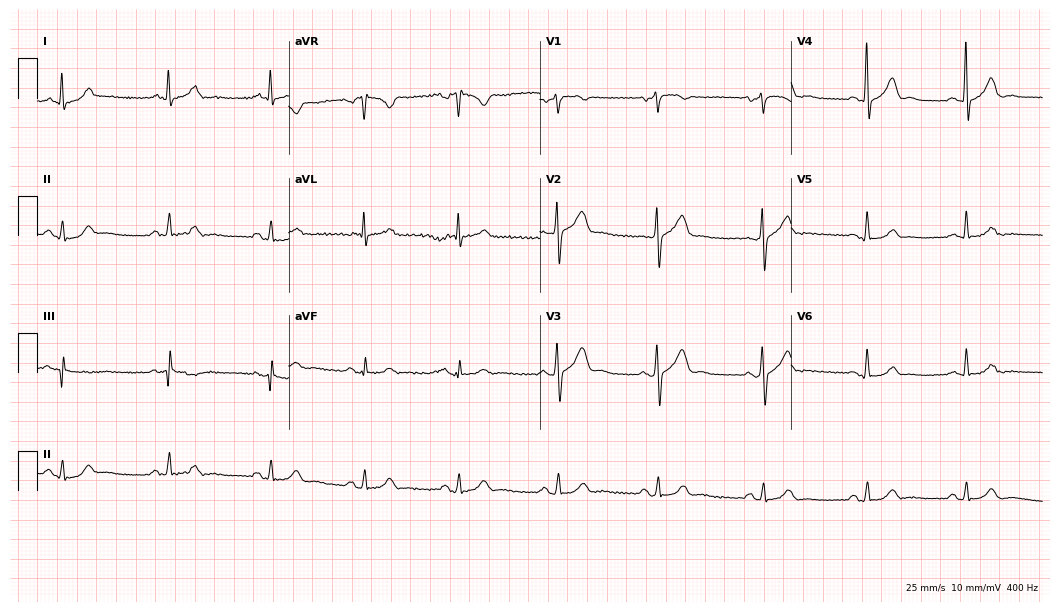
12-lead ECG from a 53-year-old man. Screened for six findings — first-degree AV block, right bundle branch block, left bundle branch block, sinus bradycardia, atrial fibrillation, sinus tachycardia — none is recorded. Findings outside these six are not listed.